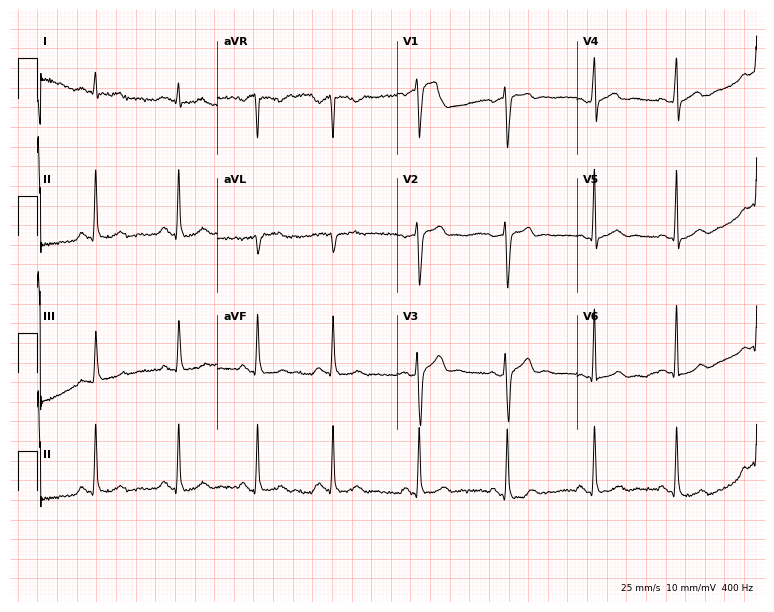
12-lead ECG from a 35-year-old male patient. Labelled as a normal ECG.